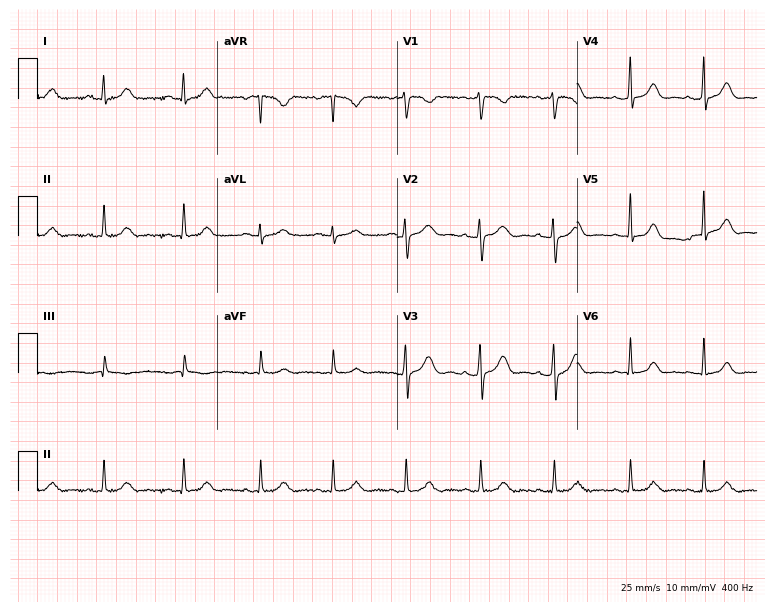
12-lead ECG from a 29-year-old female patient. Recorded interpretation: within normal limits.